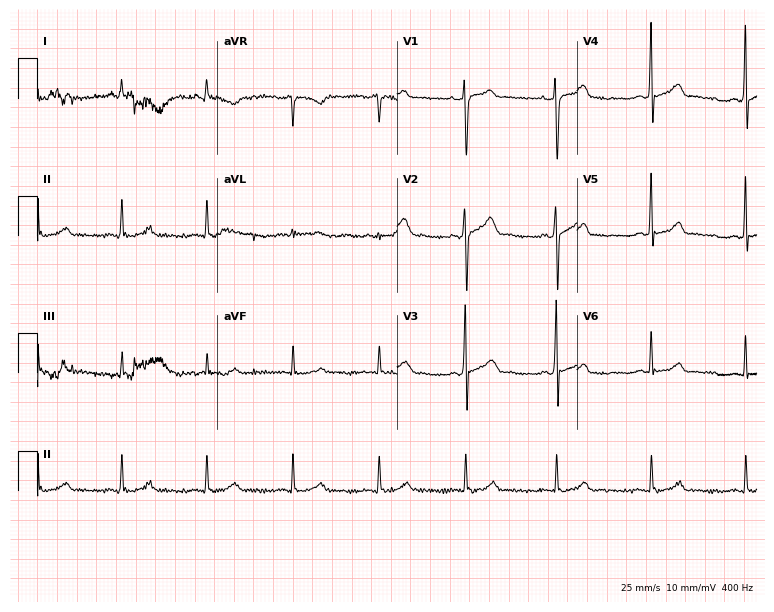
Standard 12-lead ECG recorded from a man, 39 years old (7.3-second recording at 400 Hz). None of these six findings is recorded: first-degree AV block, right bundle branch block (RBBB), left bundle branch block (LBBB), sinus bradycardia, atrial fibrillation (AF), sinus tachycardia. Other findings, if any, are not listed.